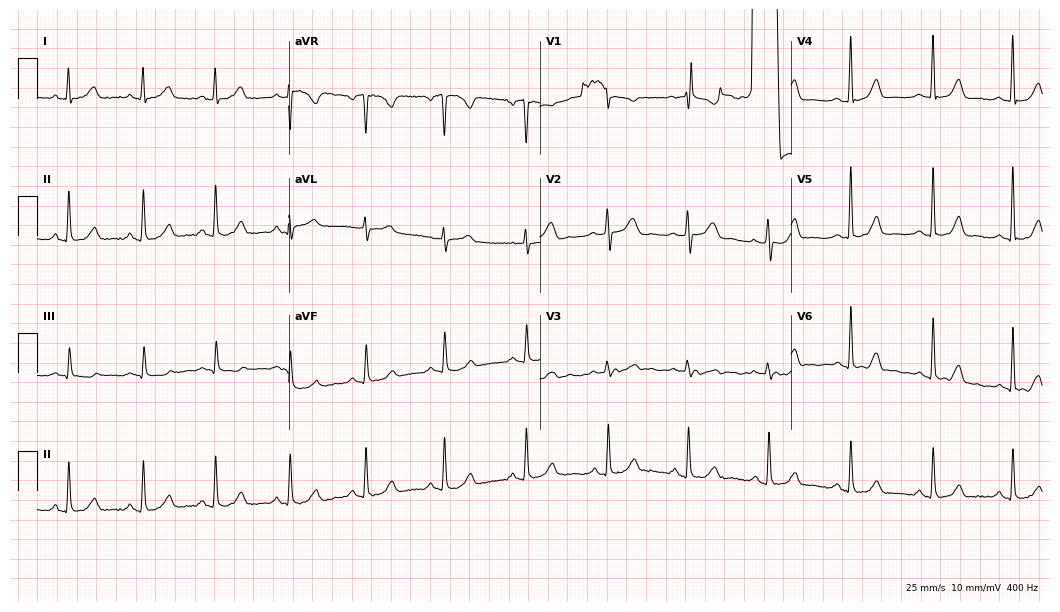
12-lead ECG from a 62-year-old woman (10.2-second recording at 400 Hz). Recorded interpretation: within normal limits.